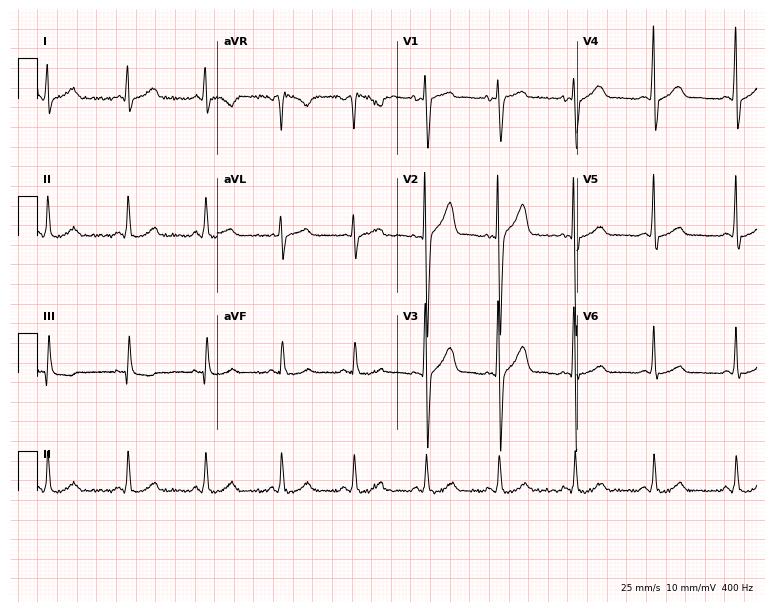
12-lead ECG from a 42-year-old man (7.3-second recording at 400 Hz). No first-degree AV block, right bundle branch block (RBBB), left bundle branch block (LBBB), sinus bradycardia, atrial fibrillation (AF) or sinus tachycardia recorded for this tracing. Only these six findings were labelled.